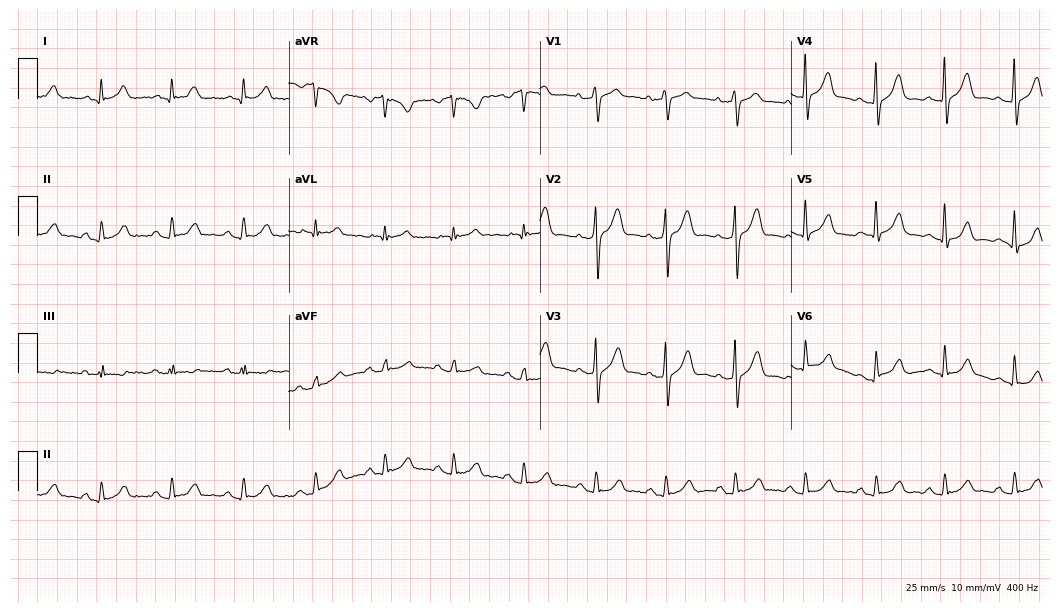
Electrocardiogram (10.2-second recording at 400 Hz), a 46-year-old male patient. Overall reading on record: normal ECG.